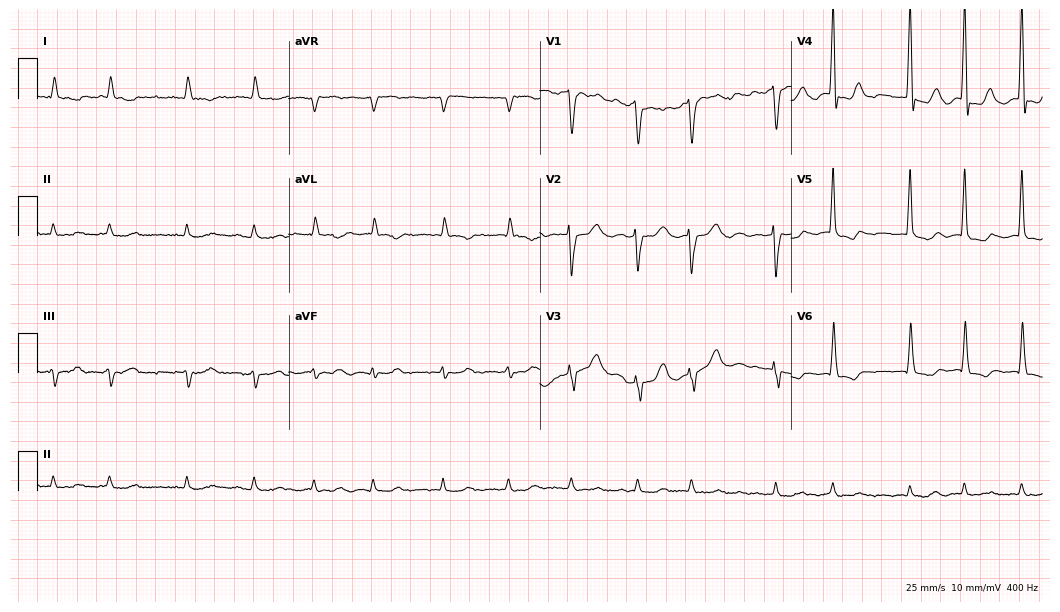
Standard 12-lead ECG recorded from a male patient, 64 years old (10.2-second recording at 400 Hz). The tracing shows atrial fibrillation (AF).